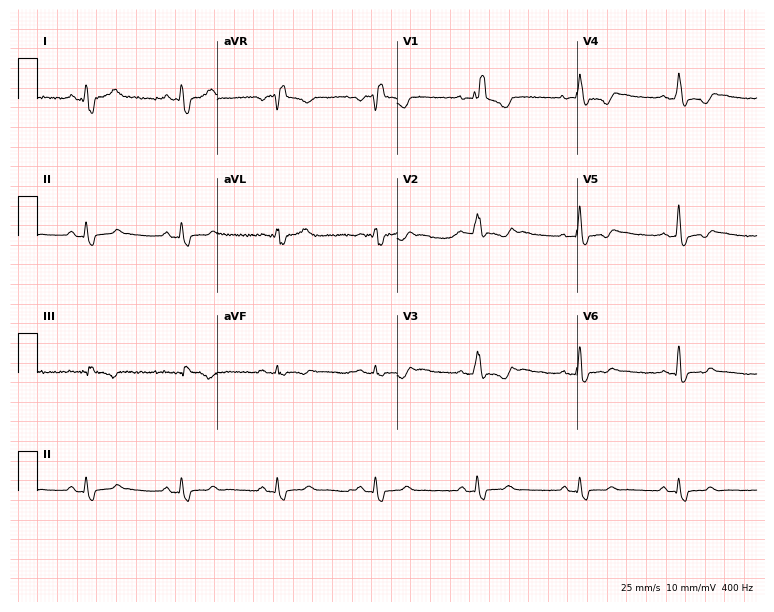
Standard 12-lead ECG recorded from a 36-year-old woman (7.3-second recording at 400 Hz). The tracing shows right bundle branch block.